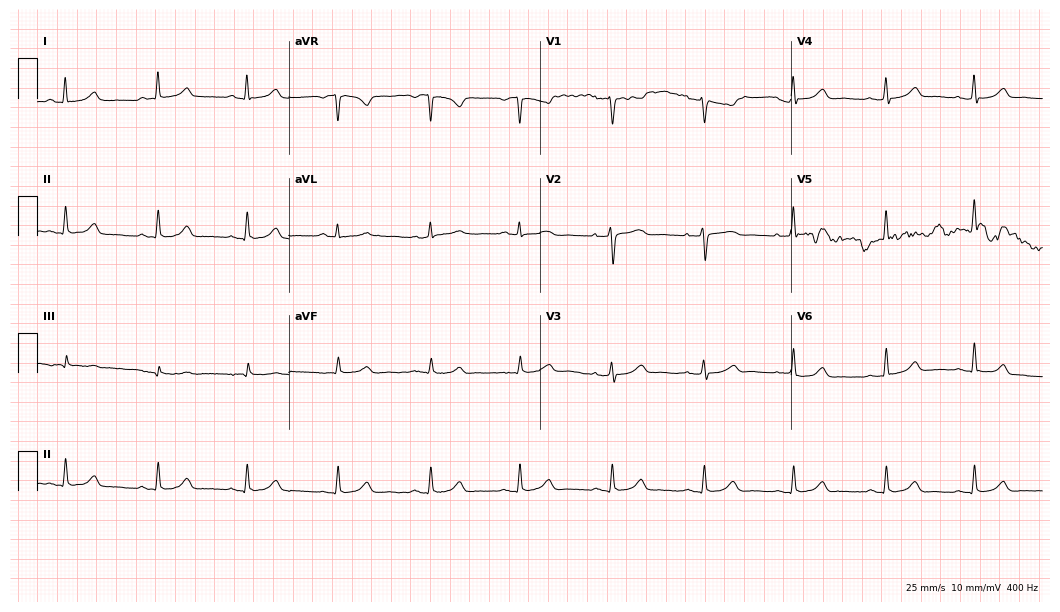
Resting 12-lead electrocardiogram. Patient: a 52-year-old female. Read as a normal ECG.